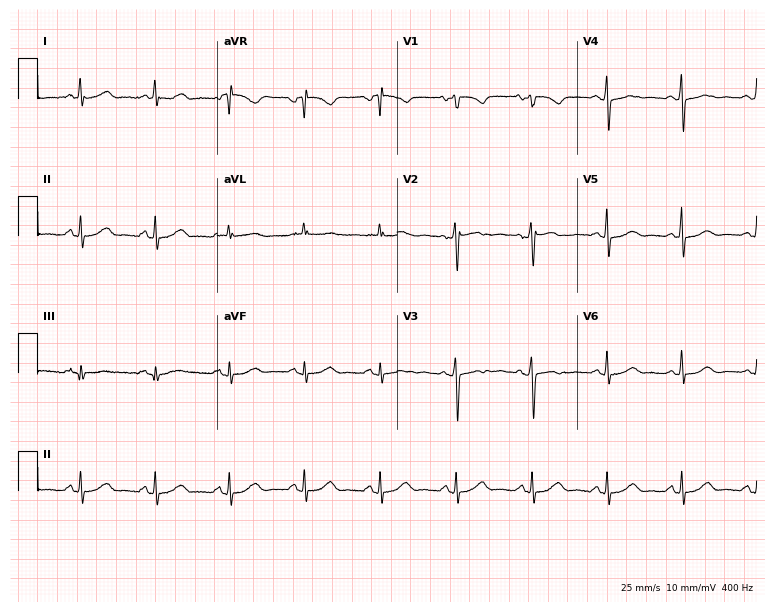
12-lead ECG from a woman, 64 years old. Labelled as a normal ECG.